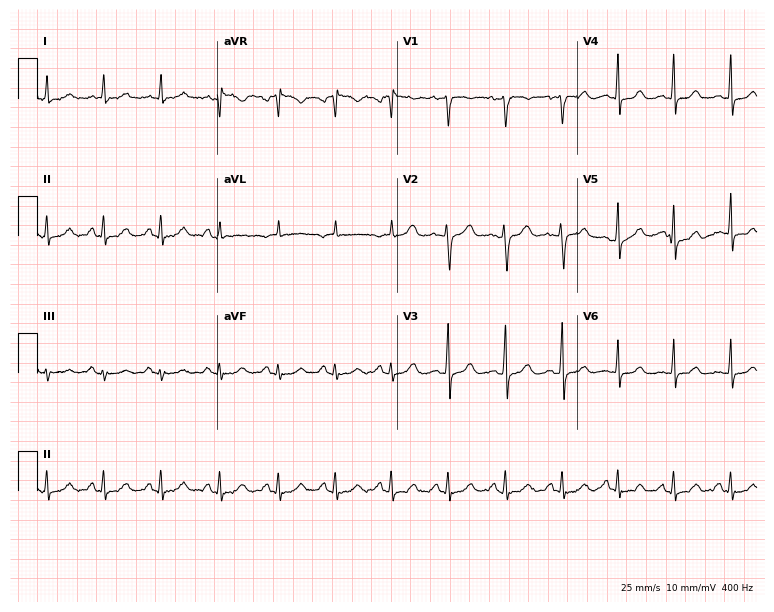
Standard 12-lead ECG recorded from a woman, 24 years old. None of these six findings is recorded: first-degree AV block, right bundle branch block (RBBB), left bundle branch block (LBBB), sinus bradycardia, atrial fibrillation (AF), sinus tachycardia.